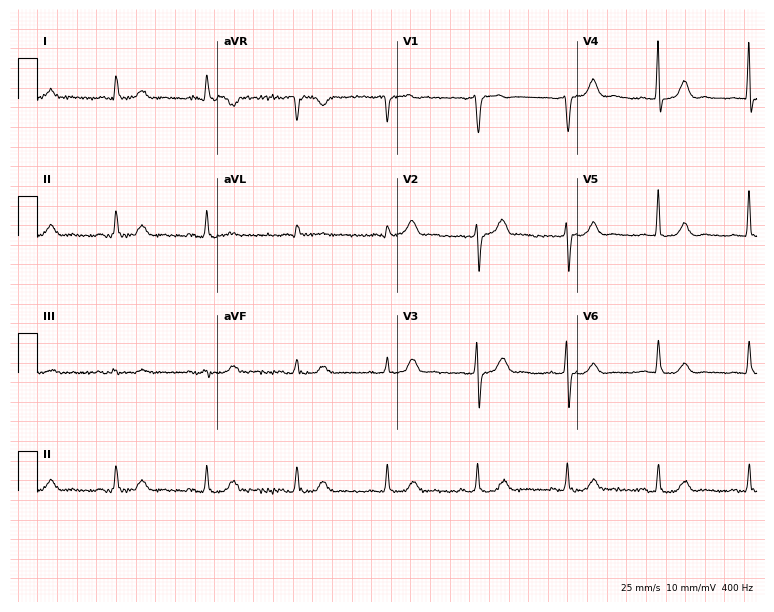
Electrocardiogram, a male, 81 years old. Overall reading on record: normal ECG.